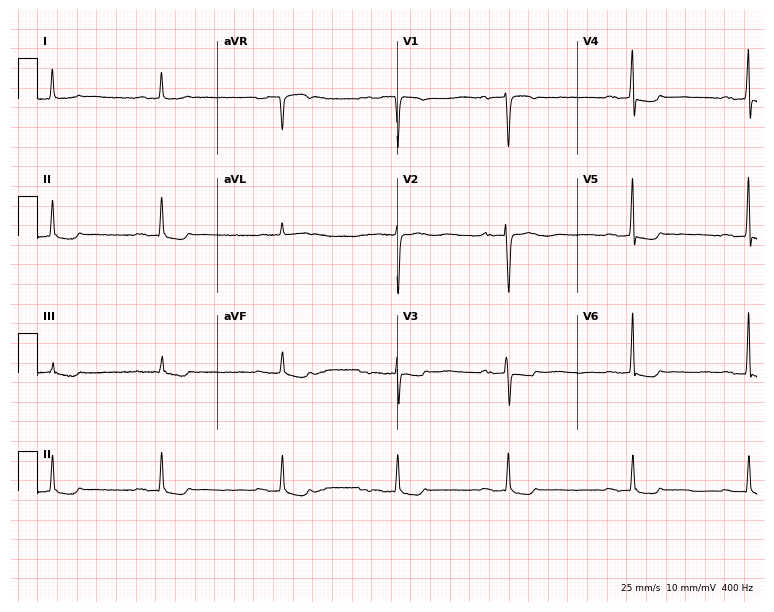
12-lead ECG from a woman, 67 years old. Screened for six findings — first-degree AV block, right bundle branch block, left bundle branch block, sinus bradycardia, atrial fibrillation, sinus tachycardia — none is recorded. Only these six findings were labelled.